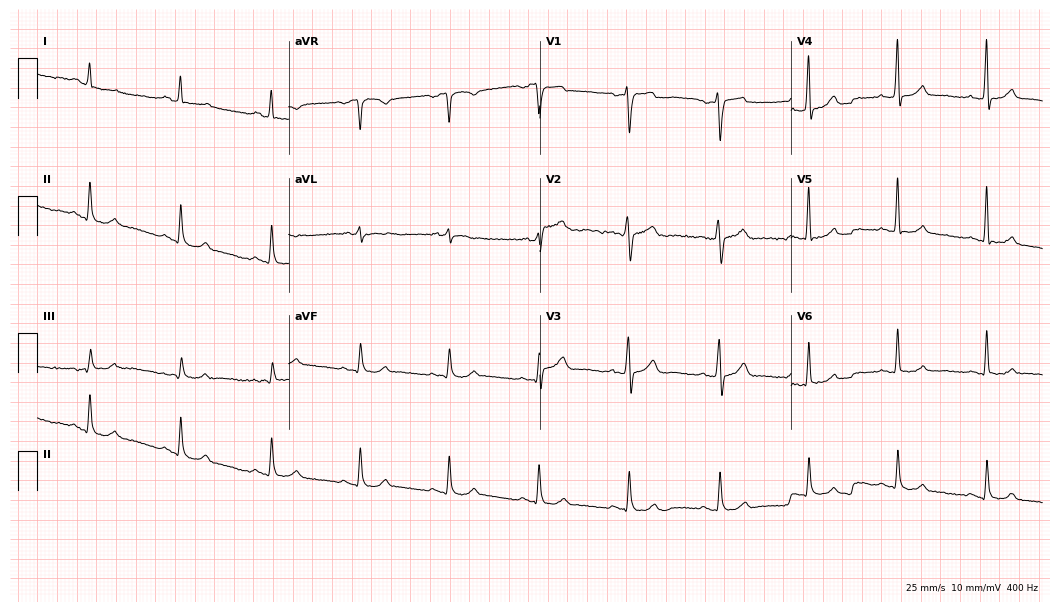
Electrocardiogram (10.2-second recording at 400 Hz), a male patient, 55 years old. Overall reading on record: normal ECG.